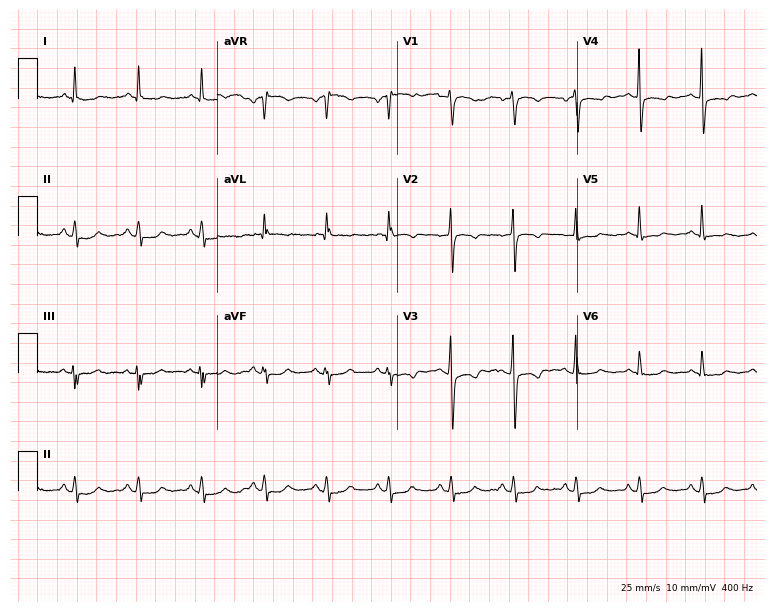
12-lead ECG from a woman, 76 years old. No first-degree AV block, right bundle branch block, left bundle branch block, sinus bradycardia, atrial fibrillation or sinus tachycardia recorded for this tracing.